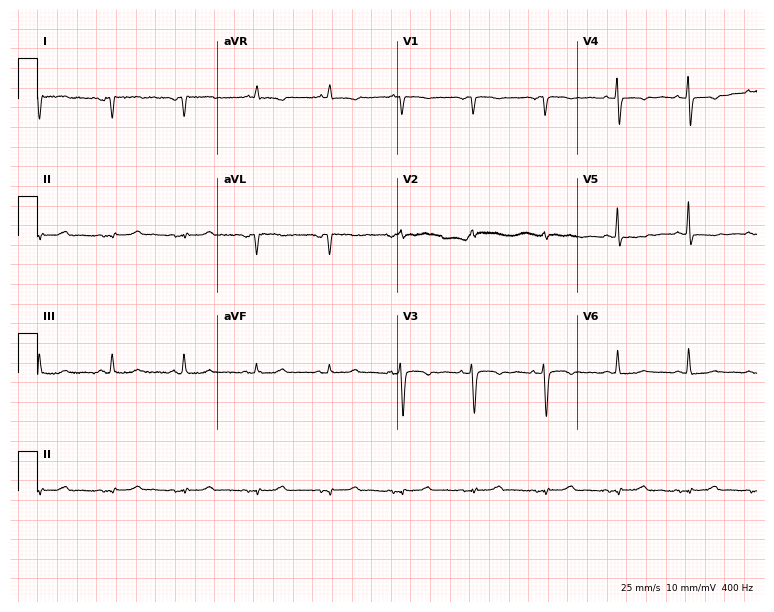
Electrocardiogram, a female, 67 years old. Of the six screened findings (first-degree AV block, right bundle branch block (RBBB), left bundle branch block (LBBB), sinus bradycardia, atrial fibrillation (AF), sinus tachycardia), none is recorded.